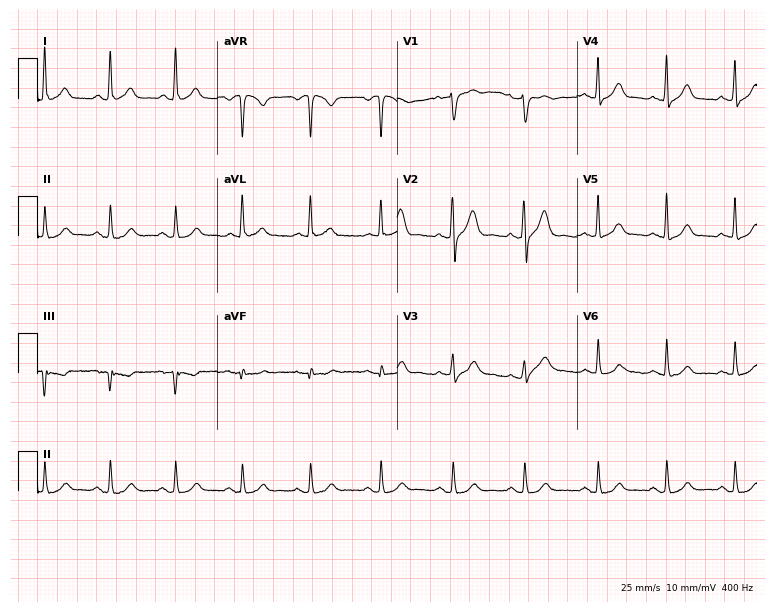
Electrocardiogram (7.3-second recording at 400 Hz), a 55-year-old male. Overall reading on record: normal ECG.